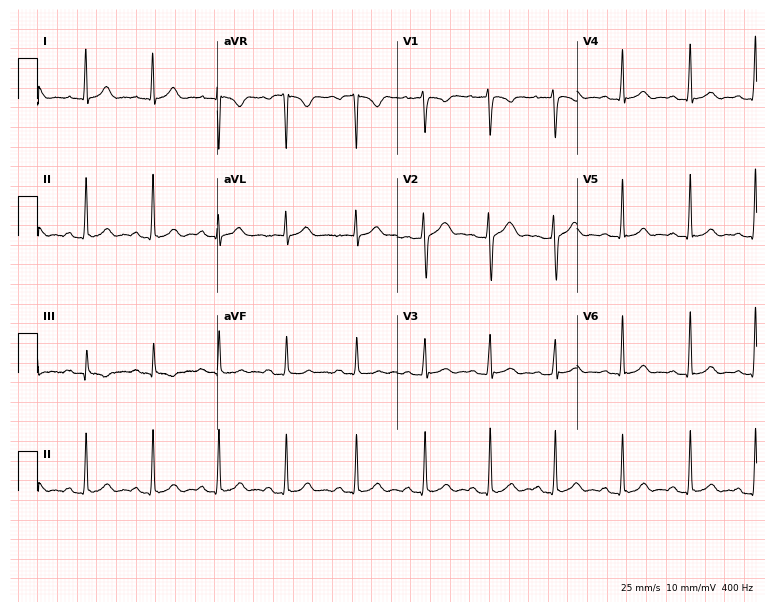
ECG — an 18-year-old female. Screened for six findings — first-degree AV block, right bundle branch block, left bundle branch block, sinus bradycardia, atrial fibrillation, sinus tachycardia — none is recorded. Other findings, if any, are not listed.